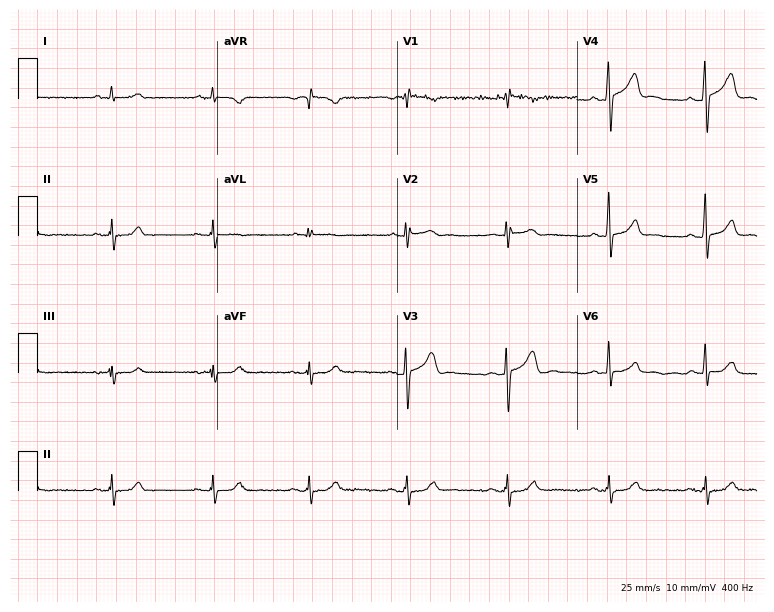
ECG — a 45-year-old man. Screened for six findings — first-degree AV block, right bundle branch block, left bundle branch block, sinus bradycardia, atrial fibrillation, sinus tachycardia — none is recorded.